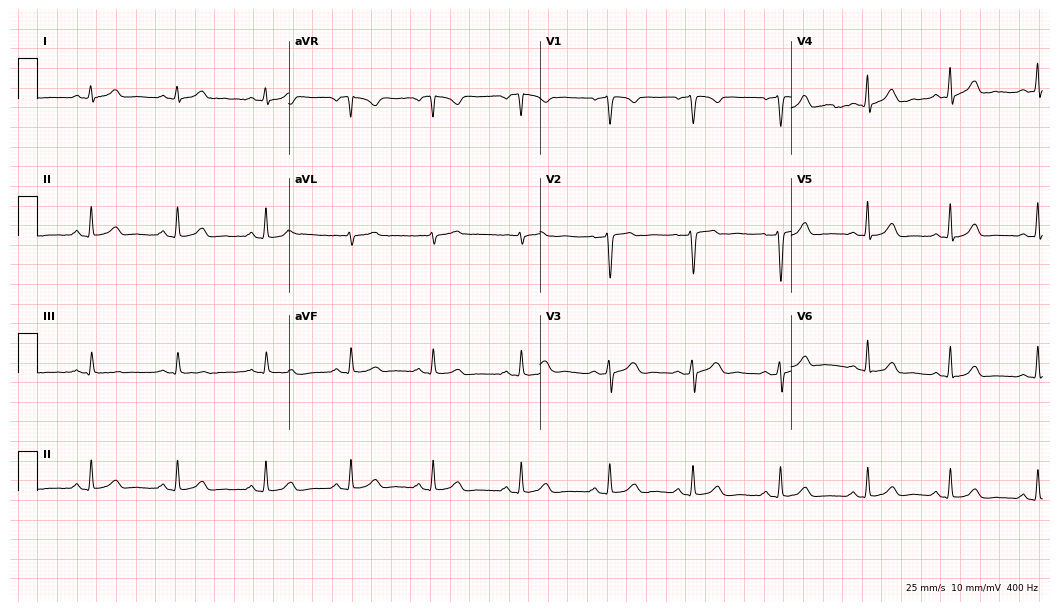
12-lead ECG from a female, 39 years old (10.2-second recording at 400 Hz). No first-degree AV block, right bundle branch block (RBBB), left bundle branch block (LBBB), sinus bradycardia, atrial fibrillation (AF) or sinus tachycardia recorded for this tracing. Other findings, if any, are not listed.